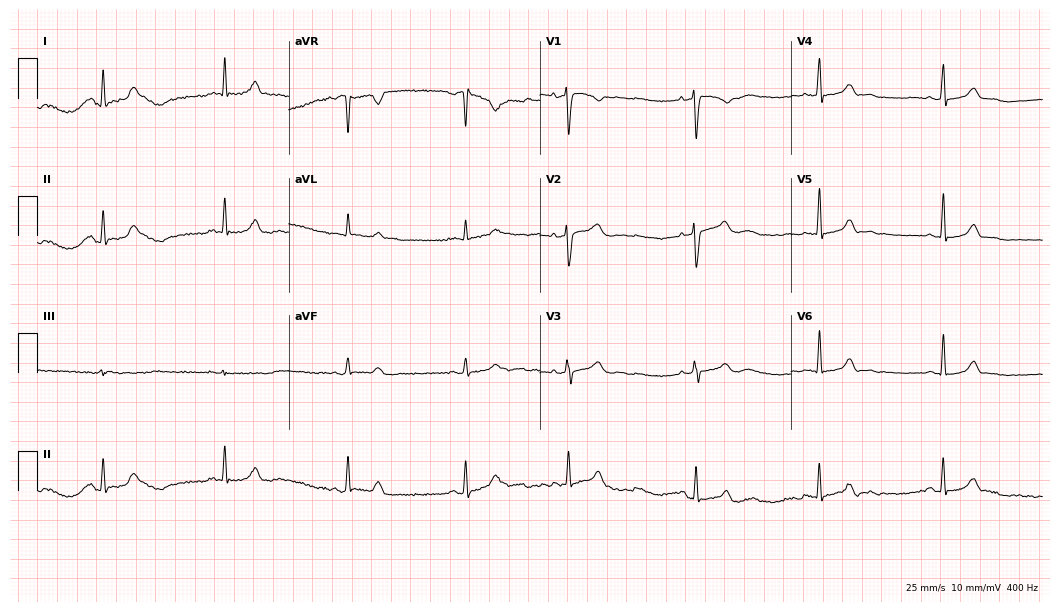
ECG — a 36-year-old female. Findings include sinus bradycardia (a sinus rate of 50 beats per minute or less).